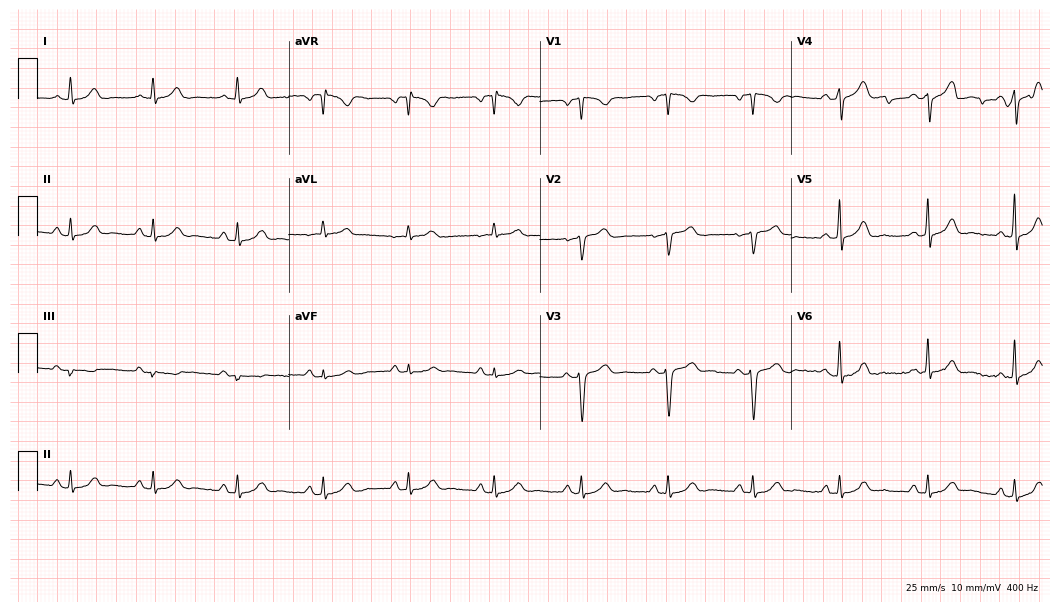
Electrocardiogram (10.2-second recording at 400 Hz), a woman, 42 years old. Overall reading on record: normal ECG.